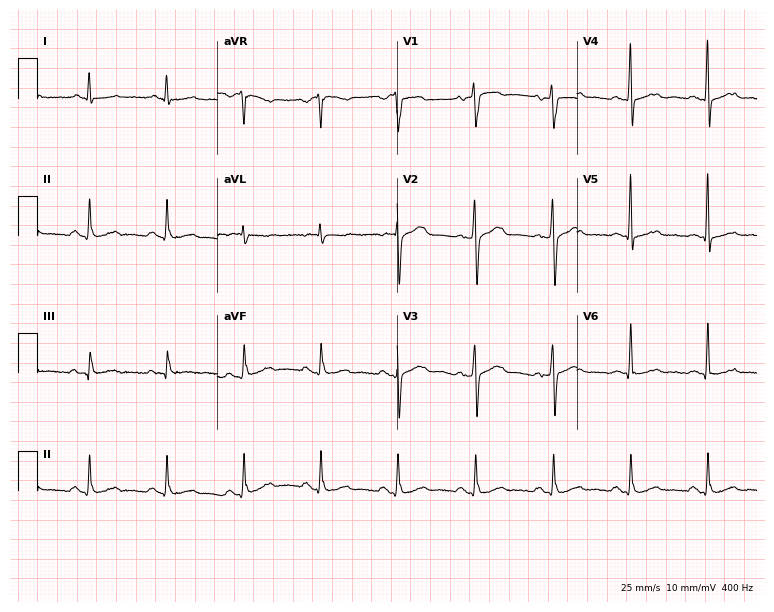
Resting 12-lead electrocardiogram. Patient: a male, 54 years old. None of these six findings is recorded: first-degree AV block, right bundle branch block (RBBB), left bundle branch block (LBBB), sinus bradycardia, atrial fibrillation (AF), sinus tachycardia. Other findings, if any, are not listed.